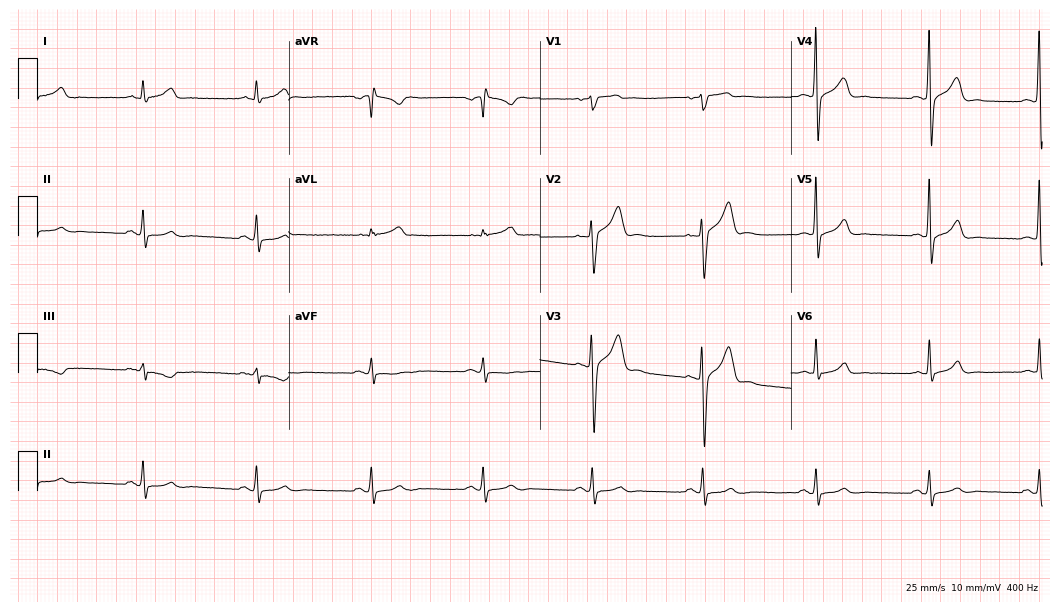
Standard 12-lead ECG recorded from a male, 32 years old (10.2-second recording at 400 Hz). Read as a normal ECG.